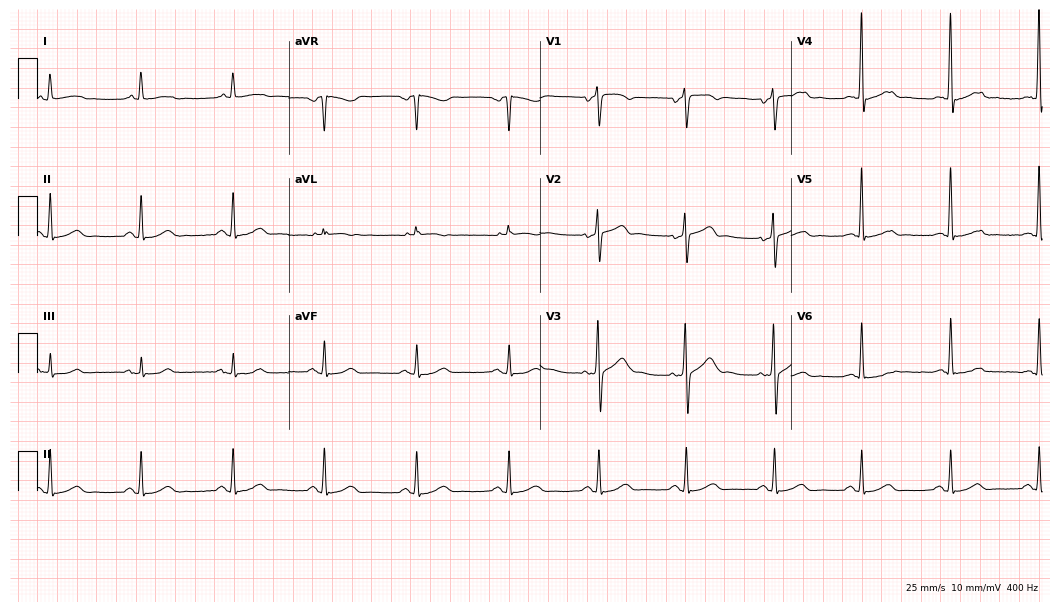
Resting 12-lead electrocardiogram (10.2-second recording at 400 Hz). Patient: a 46-year-old male. Read as a normal ECG.